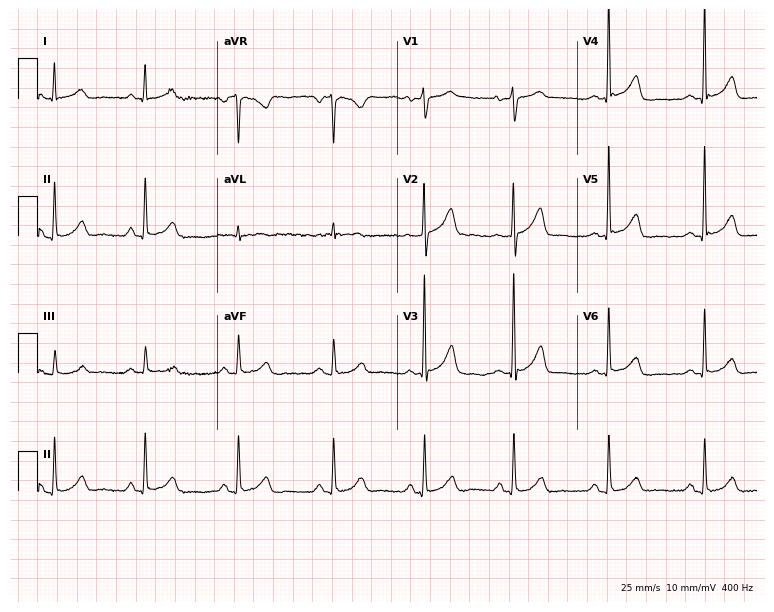
Standard 12-lead ECG recorded from a 74-year-old female. Read as a normal ECG.